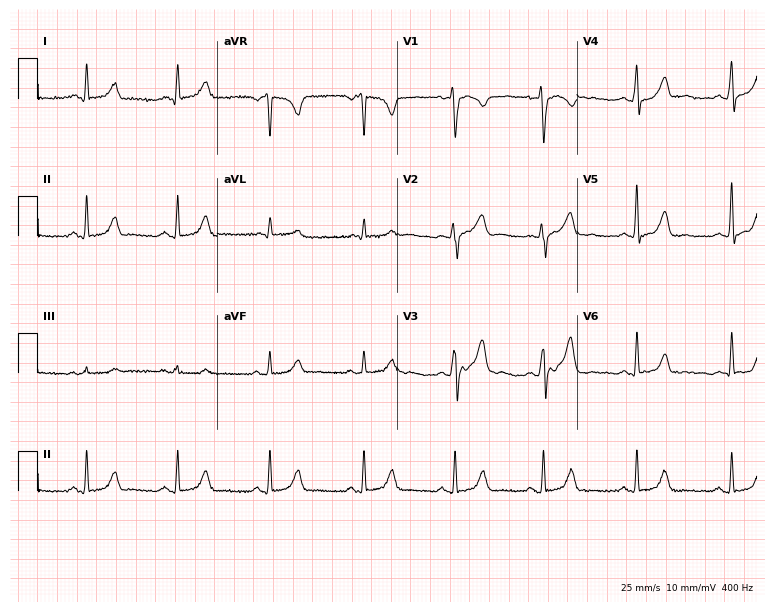
Electrocardiogram (7.3-second recording at 400 Hz), a female, 38 years old. Overall reading on record: normal ECG.